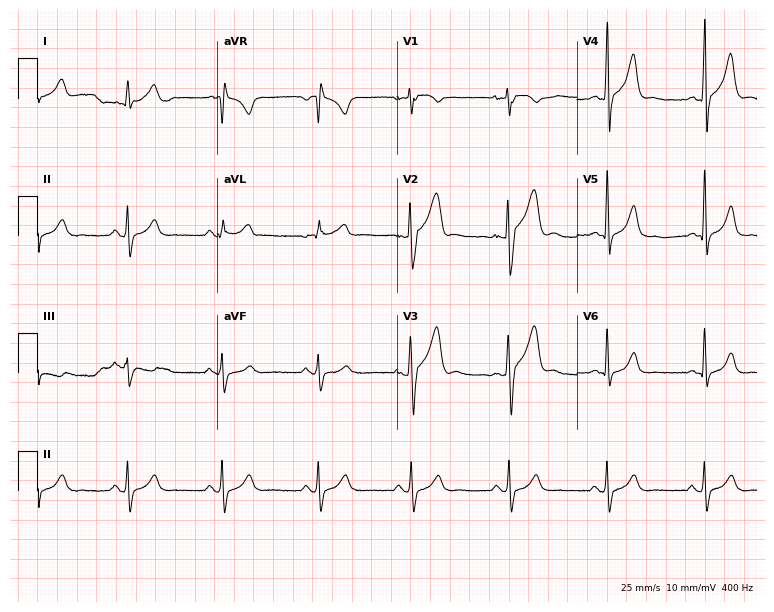
Resting 12-lead electrocardiogram (7.3-second recording at 400 Hz). Patient: a male, 29 years old. Read as a normal ECG.